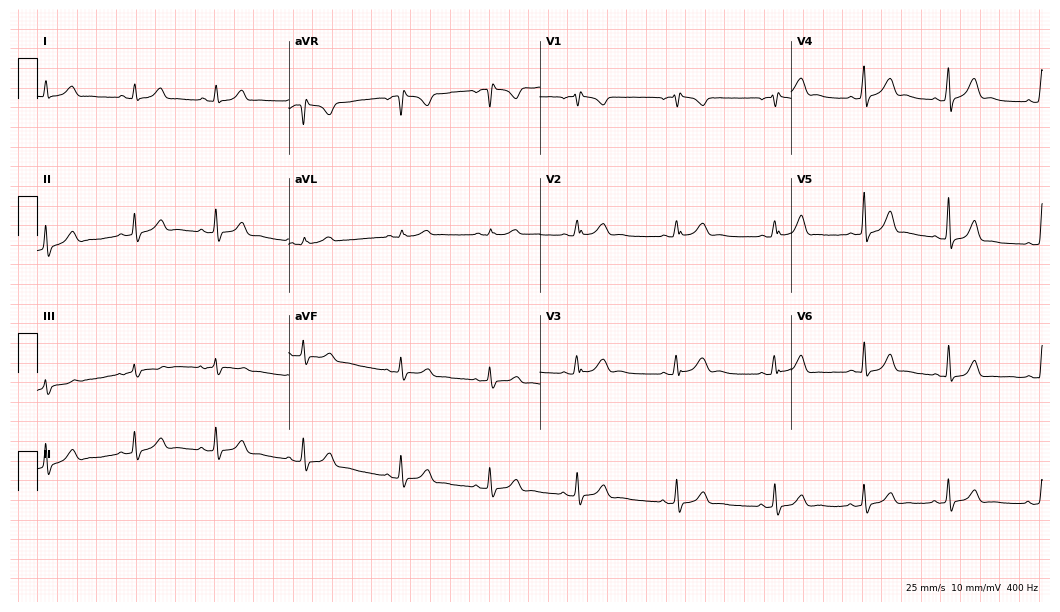
Standard 12-lead ECG recorded from a female patient, 26 years old. None of these six findings is recorded: first-degree AV block, right bundle branch block, left bundle branch block, sinus bradycardia, atrial fibrillation, sinus tachycardia.